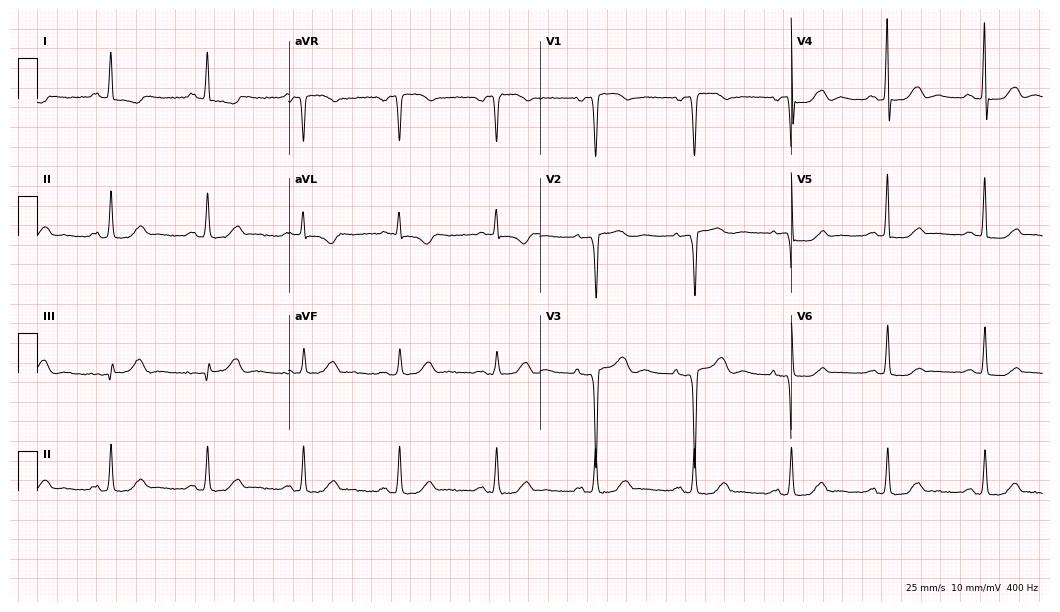
Standard 12-lead ECG recorded from a female, 64 years old (10.2-second recording at 400 Hz). Read as a normal ECG.